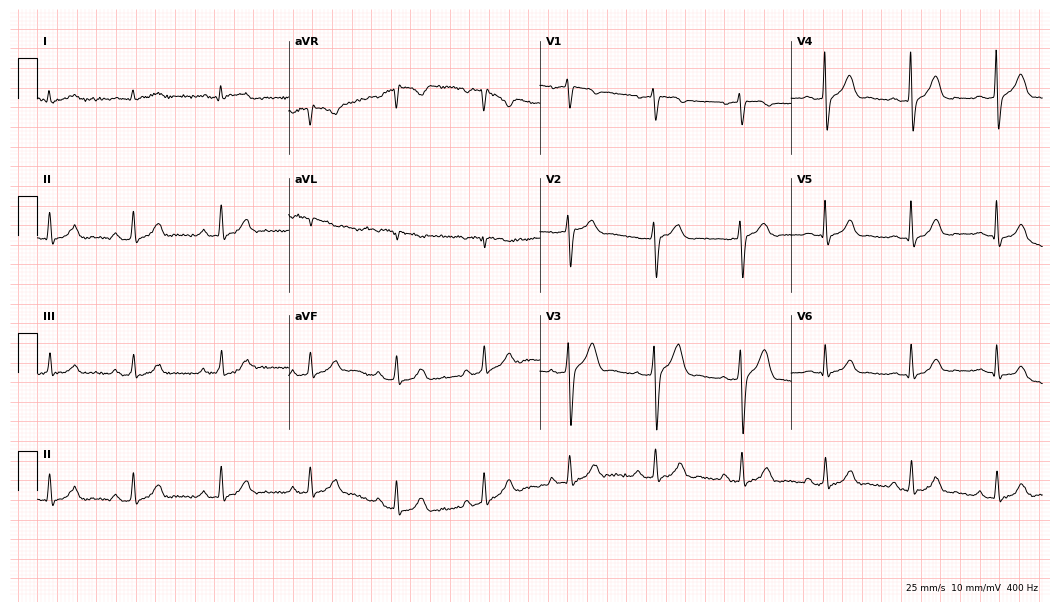
Resting 12-lead electrocardiogram. Patient: a man, 55 years old. Read as a normal ECG.